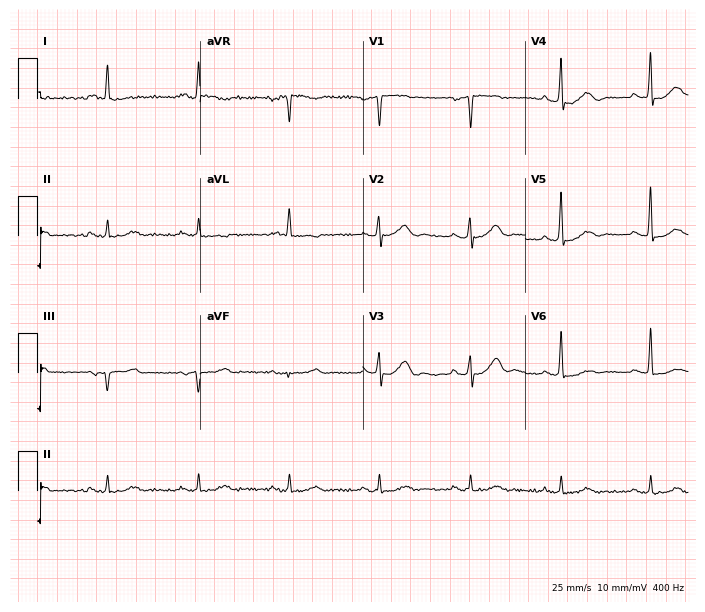
ECG — a 75-year-old male patient. Labelled as a normal ECG.